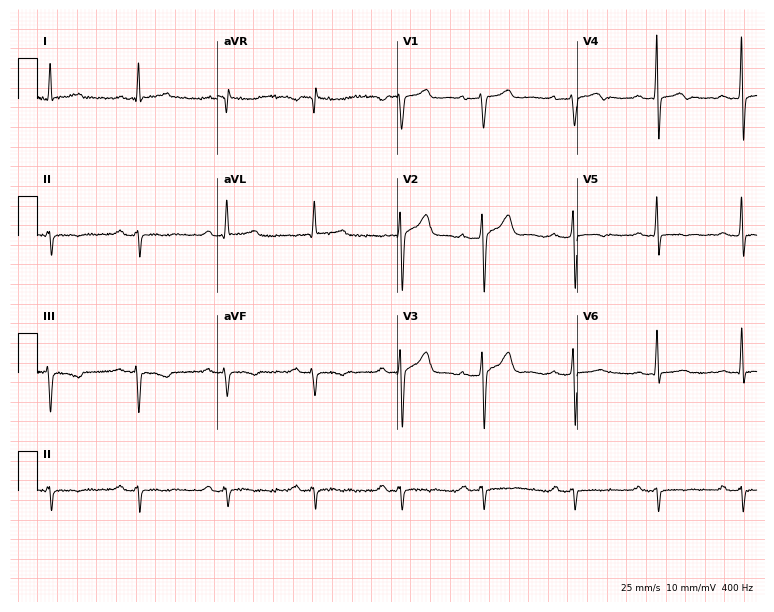
12-lead ECG from a male patient, 65 years old. No first-degree AV block, right bundle branch block (RBBB), left bundle branch block (LBBB), sinus bradycardia, atrial fibrillation (AF) or sinus tachycardia recorded for this tracing. Other findings, if any, are not listed.